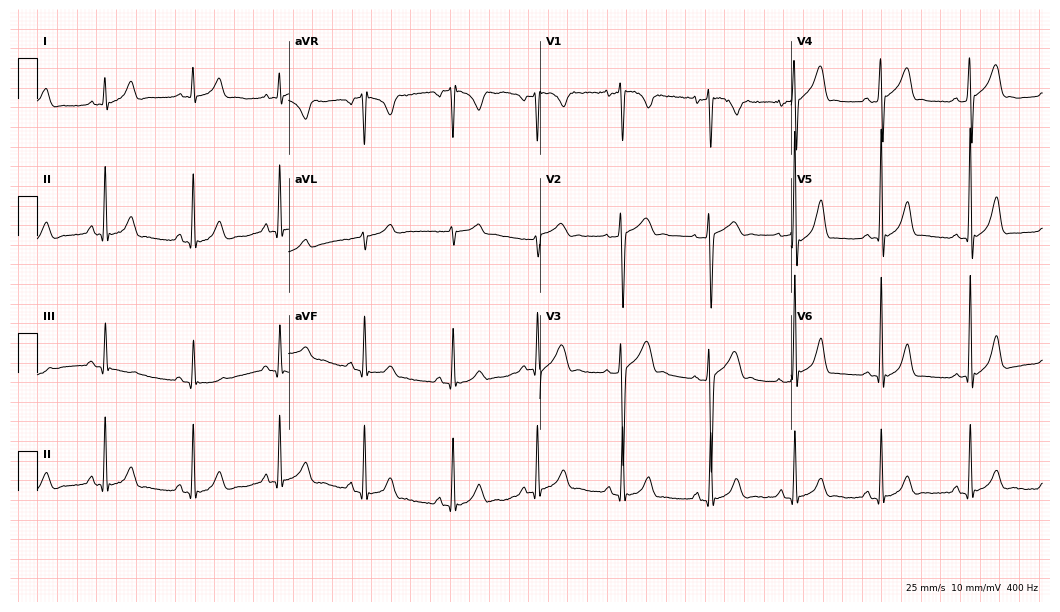
Standard 12-lead ECG recorded from a 17-year-old male patient (10.2-second recording at 400 Hz). Read as a normal ECG.